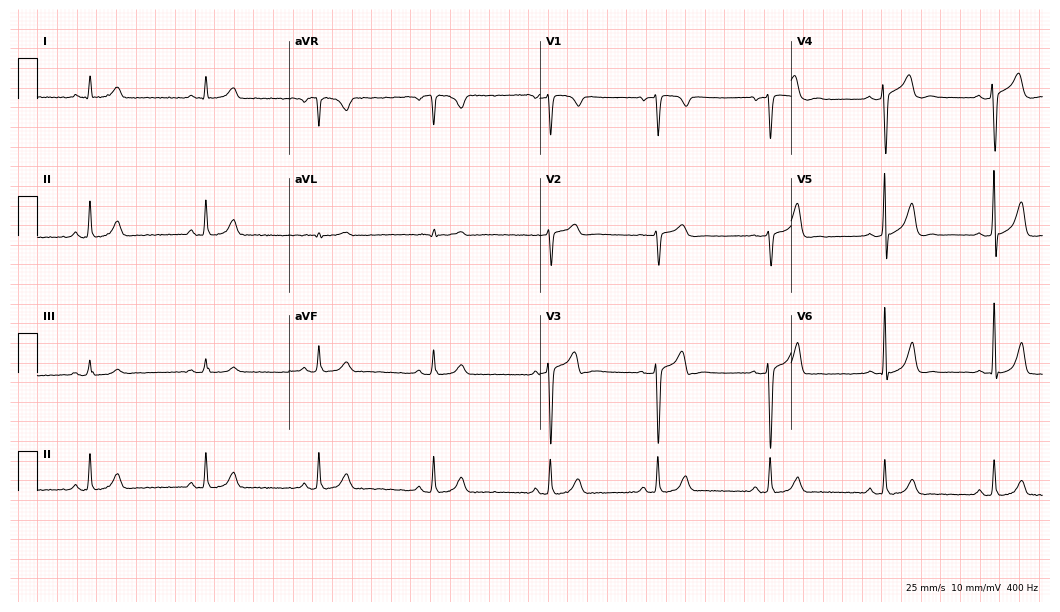
ECG — a man, 33 years old. Labelled as a normal ECG.